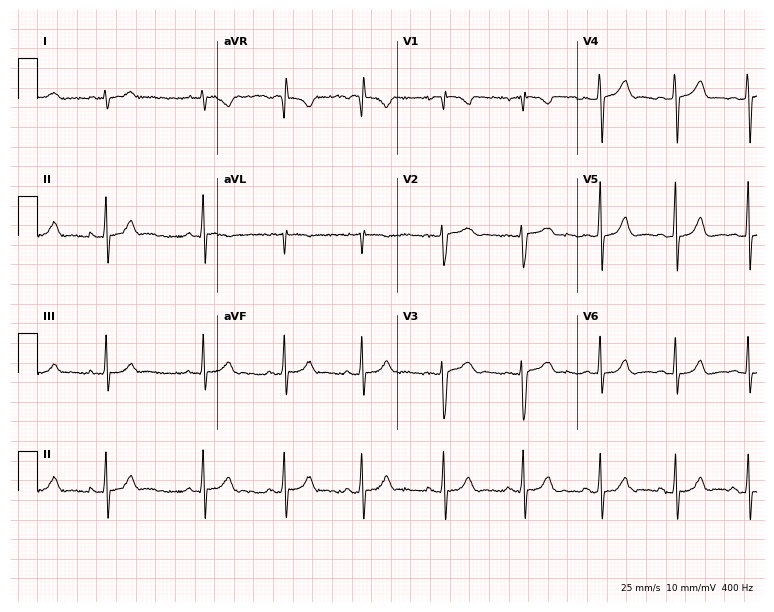
Resting 12-lead electrocardiogram (7.3-second recording at 400 Hz). Patient: a female, 20 years old. Read as a normal ECG.